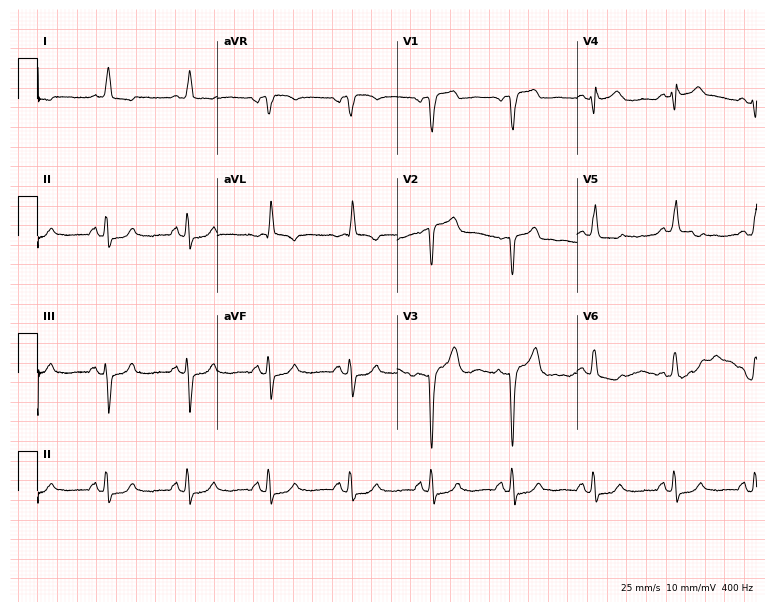
Electrocardiogram, a male, 78 years old. Of the six screened findings (first-degree AV block, right bundle branch block, left bundle branch block, sinus bradycardia, atrial fibrillation, sinus tachycardia), none is recorded.